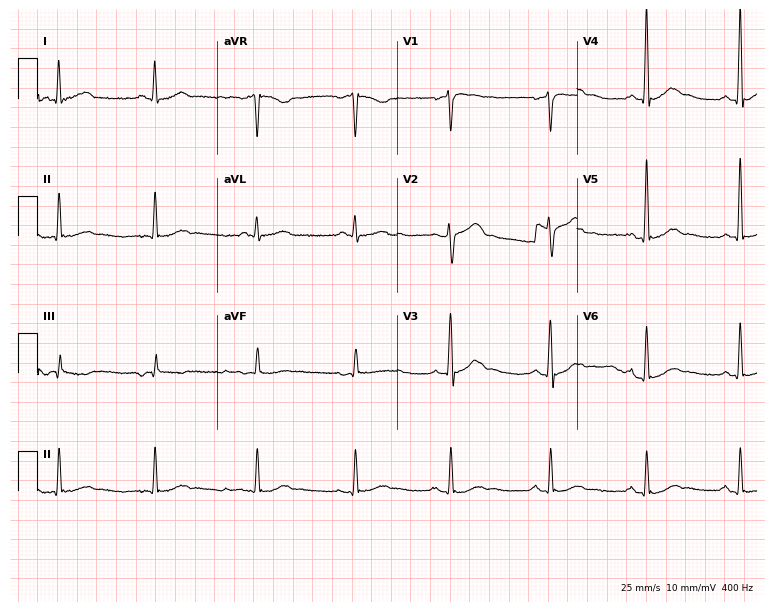
Standard 12-lead ECG recorded from a 67-year-old male (7.3-second recording at 400 Hz). None of these six findings is recorded: first-degree AV block, right bundle branch block, left bundle branch block, sinus bradycardia, atrial fibrillation, sinus tachycardia. Findings outside these six are not listed.